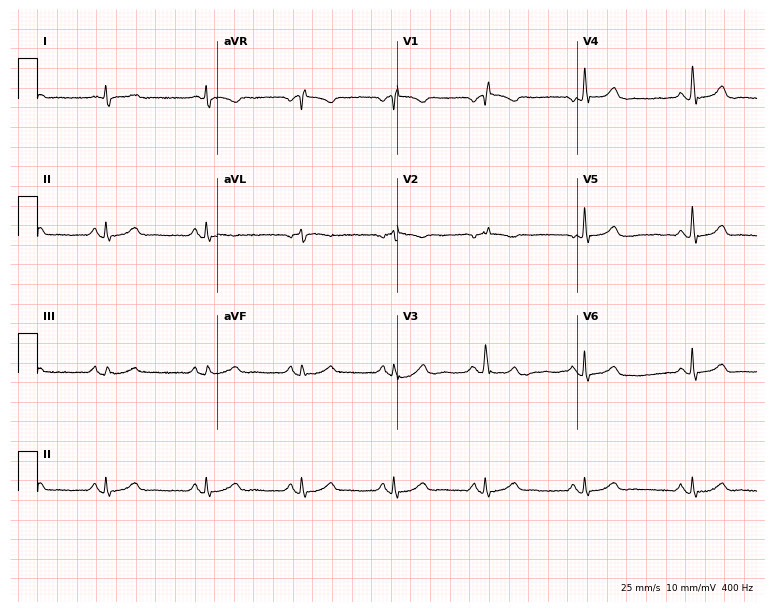
ECG (7.3-second recording at 400 Hz) — an 80-year-old female patient. Screened for six findings — first-degree AV block, right bundle branch block, left bundle branch block, sinus bradycardia, atrial fibrillation, sinus tachycardia — none is recorded. Only these six findings were labelled.